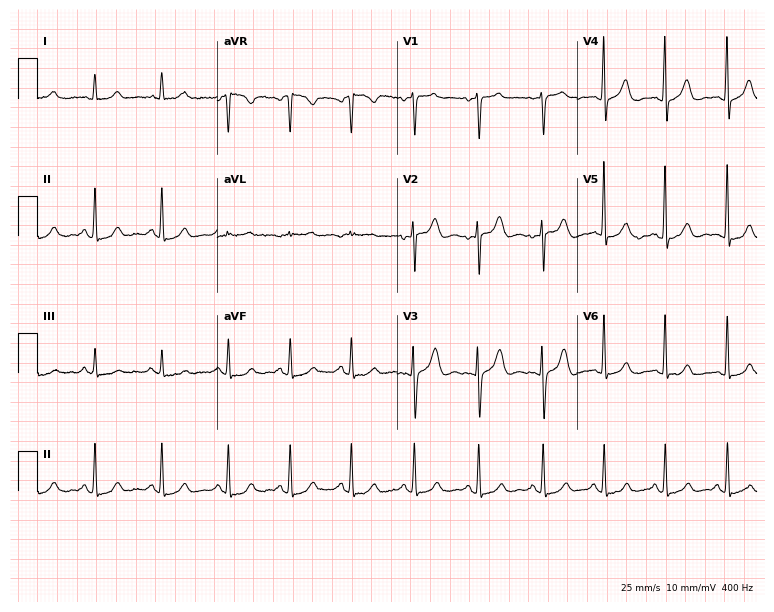
Resting 12-lead electrocardiogram (7.3-second recording at 400 Hz). Patient: a female, 38 years old. None of these six findings is recorded: first-degree AV block, right bundle branch block (RBBB), left bundle branch block (LBBB), sinus bradycardia, atrial fibrillation (AF), sinus tachycardia. Findings outside these six are not listed.